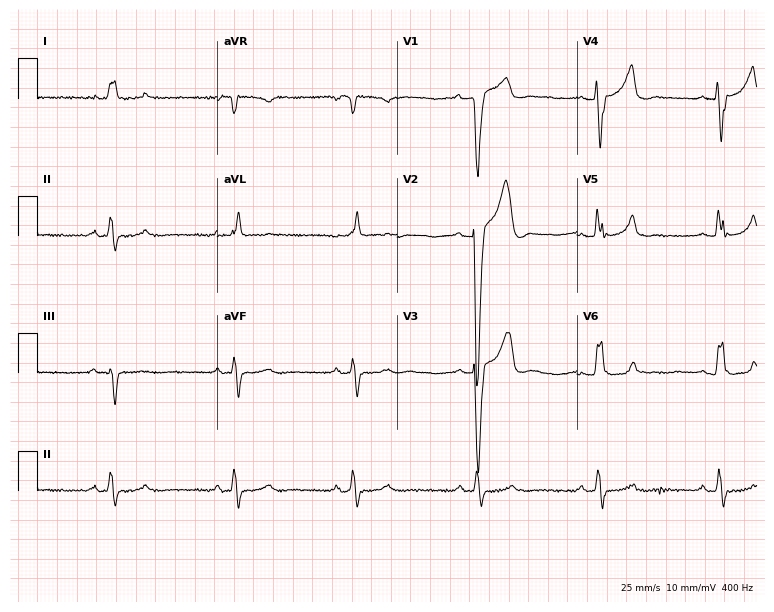
Electrocardiogram (7.3-second recording at 400 Hz), a man, 72 years old. Interpretation includes left bundle branch block, sinus bradycardia (a sinus rate of 50 beats per minute or less).